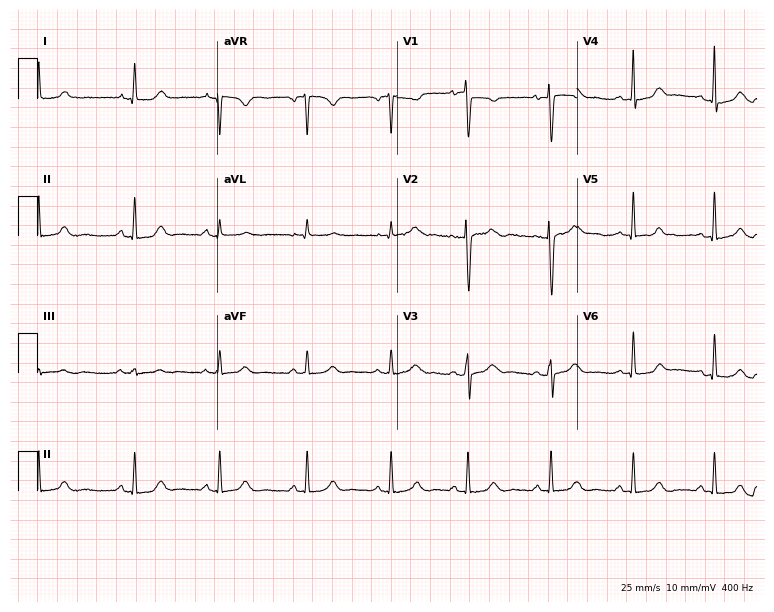
ECG — a 25-year-old female patient. Screened for six findings — first-degree AV block, right bundle branch block, left bundle branch block, sinus bradycardia, atrial fibrillation, sinus tachycardia — none is recorded. Other findings, if any, are not listed.